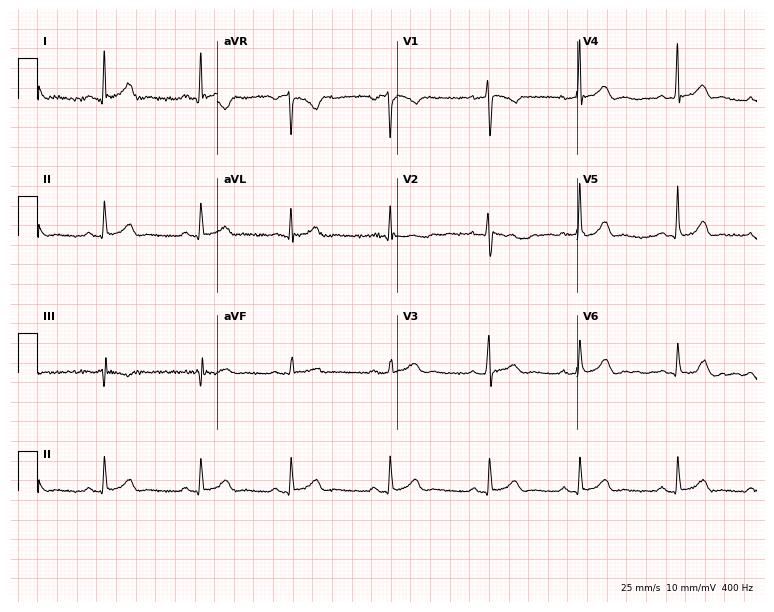
12-lead ECG from a male patient, 28 years old. Labelled as a normal ECG.